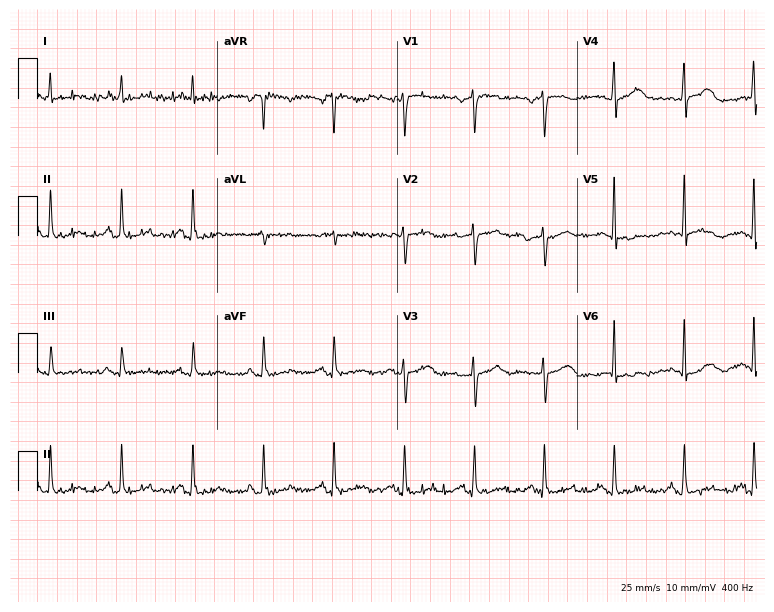
12-lead ECG from a male patient, 78 years old (7.3-second recording at 400 Hz). No first-degree AV block, right bundle branch block, left bundle branch block, sinus bradycardia, atrial fibrillation or sinus tachycardia recorded for this tracing.